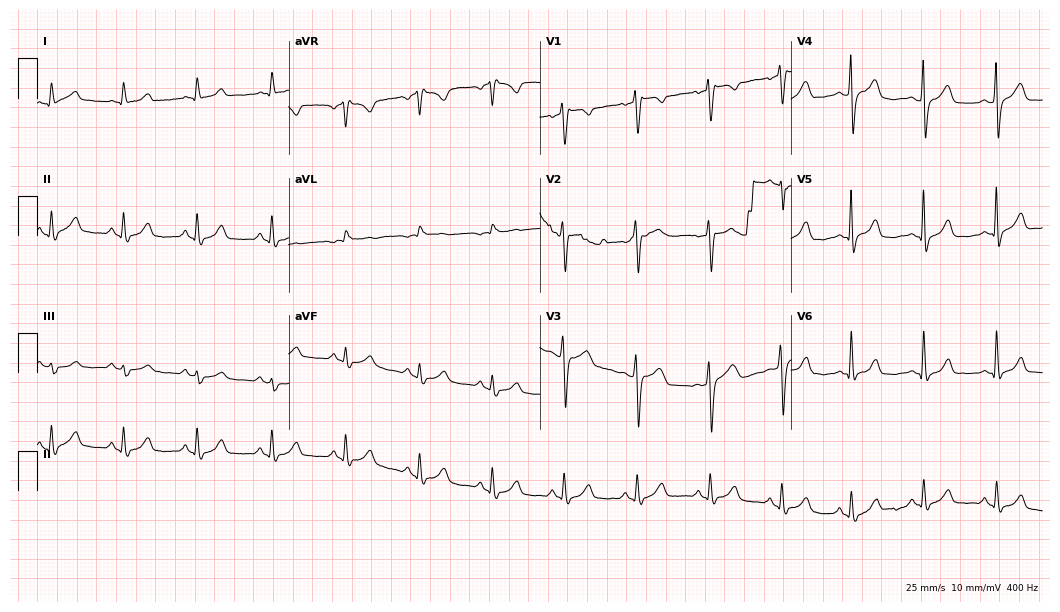
Electrocardiogram, a female patient, 54 years old. Of the six screened findings (first-degree AV block, right bundle branch block, left bundle branch block, sinus bradycardia, atrial fibrillation, sinus tachycardia), none is recorded.